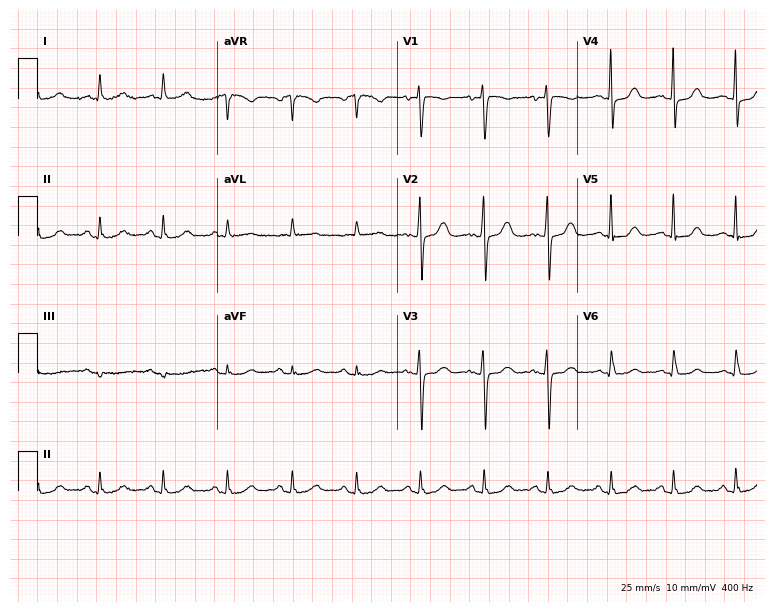
Standard 12-lead ECG recorded from a female, 63 years old. Read as a normal ECG.